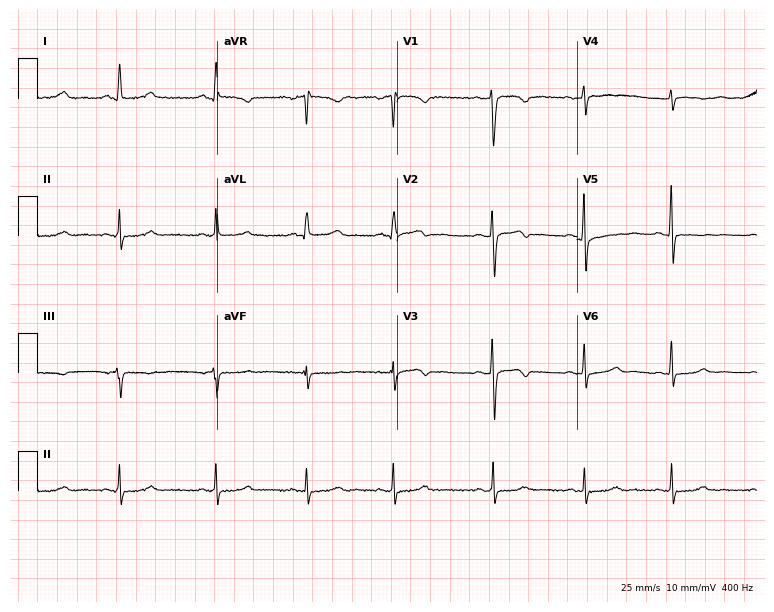
12-lead ECG from a 40-year-old female patient. Labelled as a normal ECG.